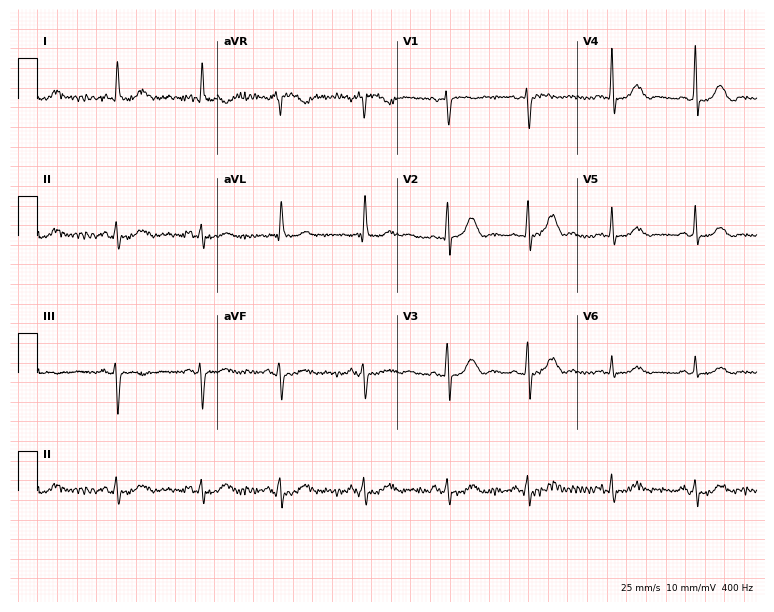
Standard 12-lead ECG recorded from a 74-year-old woman. Read as a normal ECG.